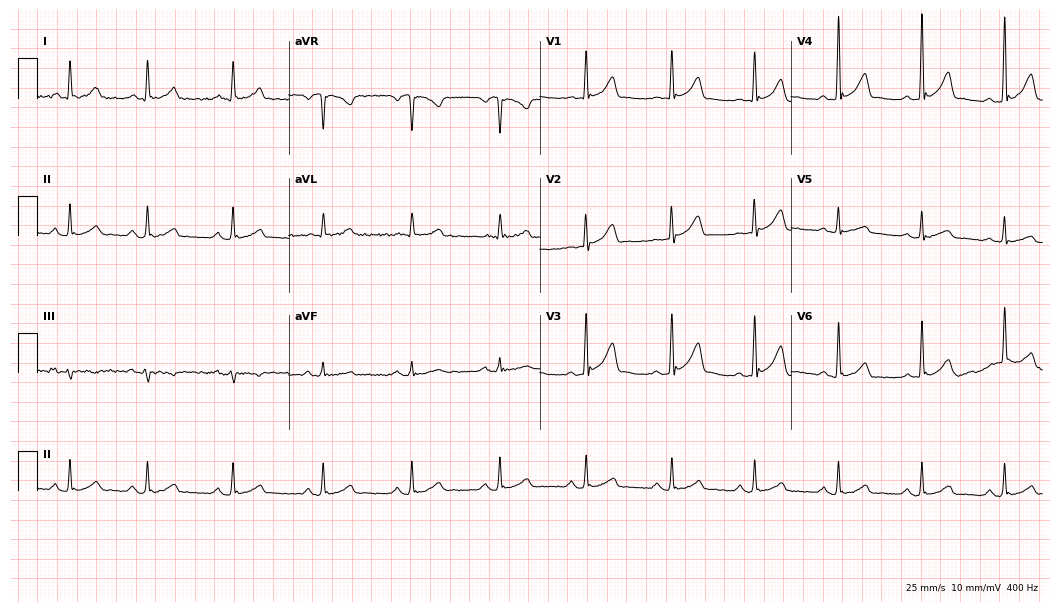
12-lead ECG from a male patient, 54 years old. Labelled as a normal ECG.